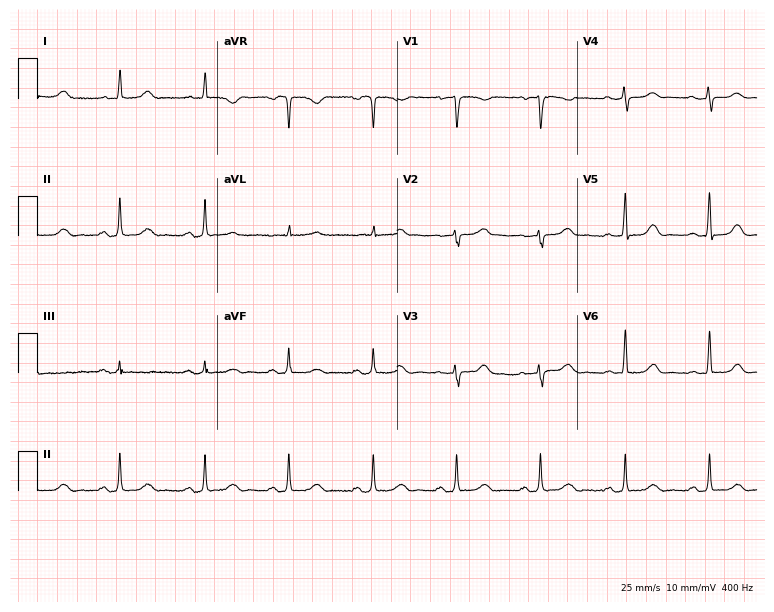
12-lead ECG from a 58-year-old female patient. Labelled as a normal ECG.